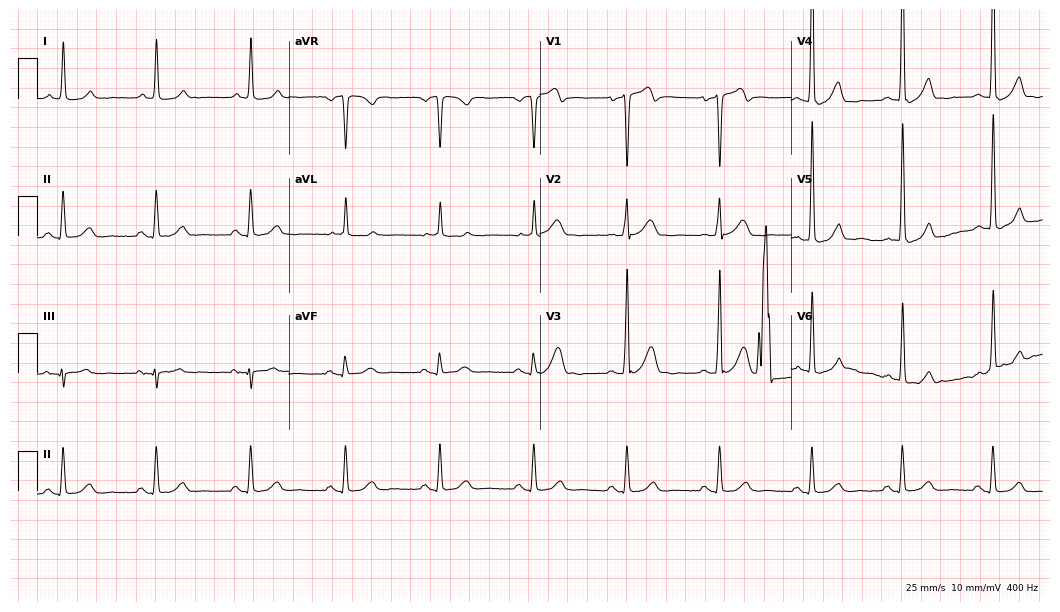
12-lead ECG from a male patient, 71 years old. Recorded interpretation: within normal limits.